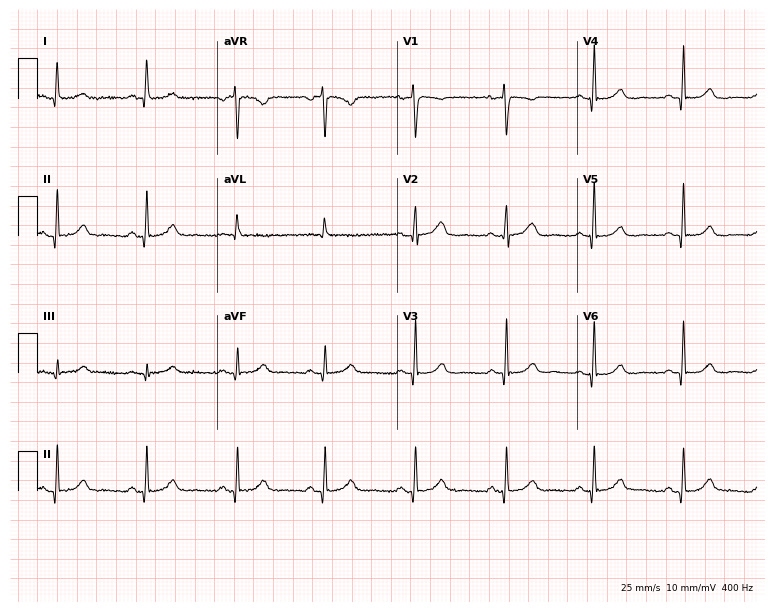
Electrocardiogram (7.3-second recording at 400 Hz), a female, 58 years old. Overall reading on record: normal ECG.